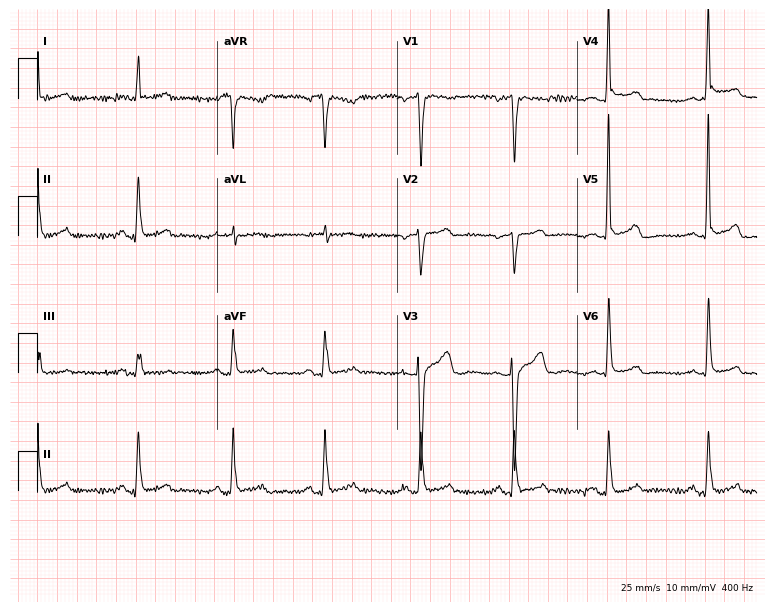
Standard 12-lead ECG recorded from a 58-year-old woman. None of these six findings is recorded: first-degree AV block, right bundle branch block, left bundle branch block, sinus bradycardia, atrial fibrillation, sinus tachycardia. Only these six findings were labelled.